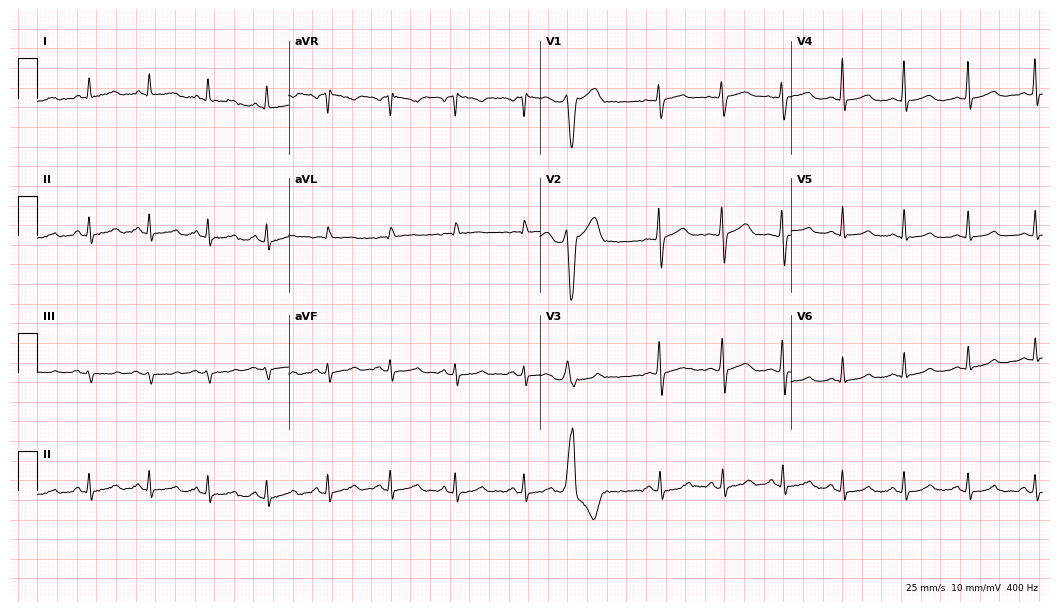
Electrocardiogram, a female patient, 48 years old. Of the six screened findings (first-degree AV block, right bundle branch block (RBBB), left bundle branch block (LBBB), sinus bradycardia, atrial fibrillation (AF), sinus tachycardia), none is recorded.